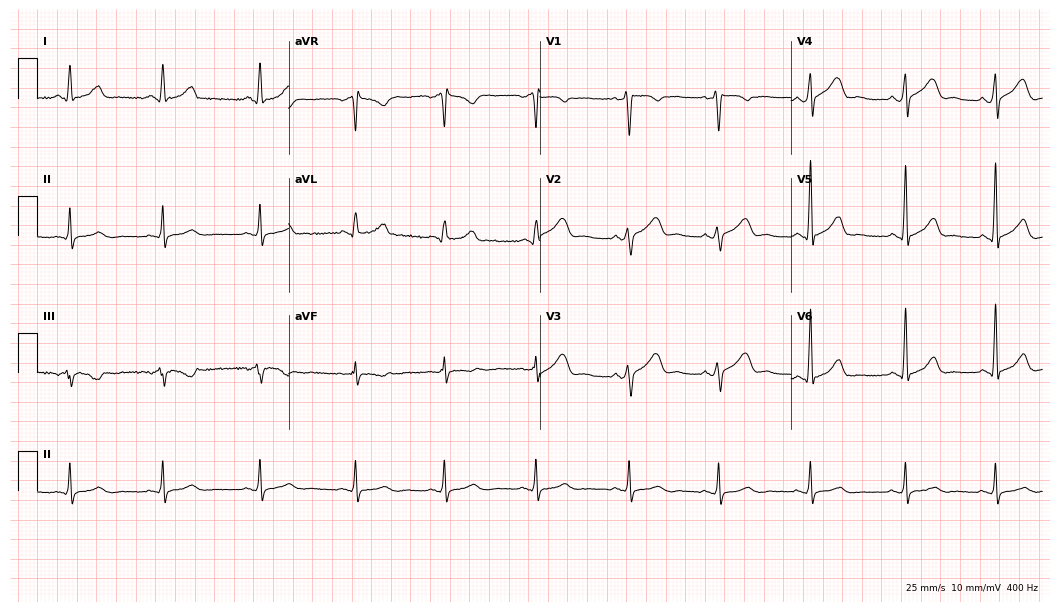
ECG — a female, 29 years old. Screened for six findings — first-degree AV block, right bundle branch block (RBBB), left bundle branch block (LBBB), sinus bradycardia, atrial fibrillation (AF), sinus tachycardia — none is recorded. Other findings, if any, are not listed.